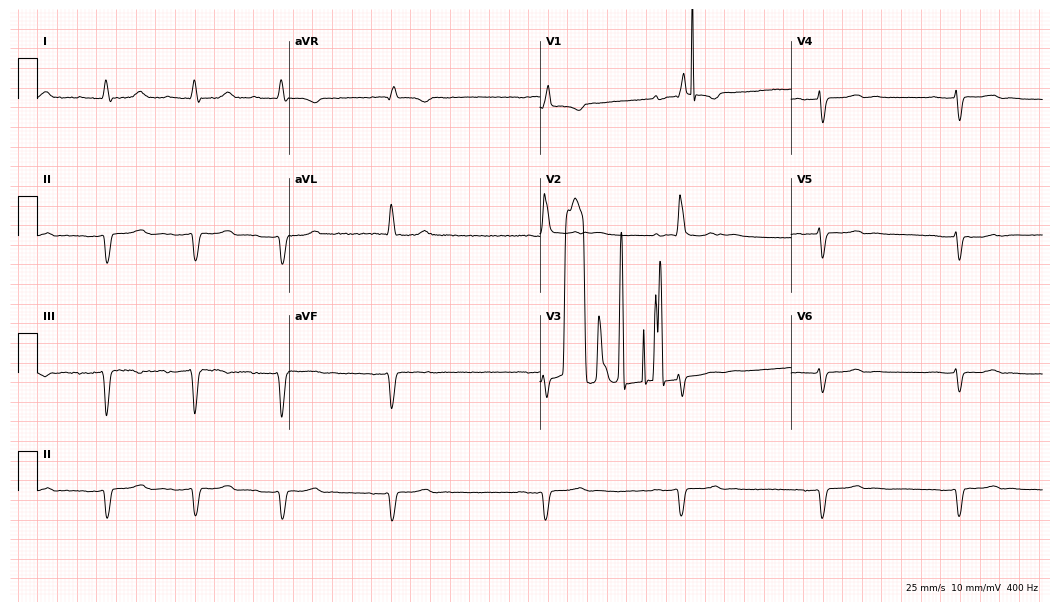
12-lead ECG (10.2-second recording at 400 Hz) from a female patient, 49 years old. Screened for six findings — first-degree AV block, right bundle branch block, left bundle branch block, sinus bradycardia, atrial fibrillation, sinus tachycardia — none is recorded.